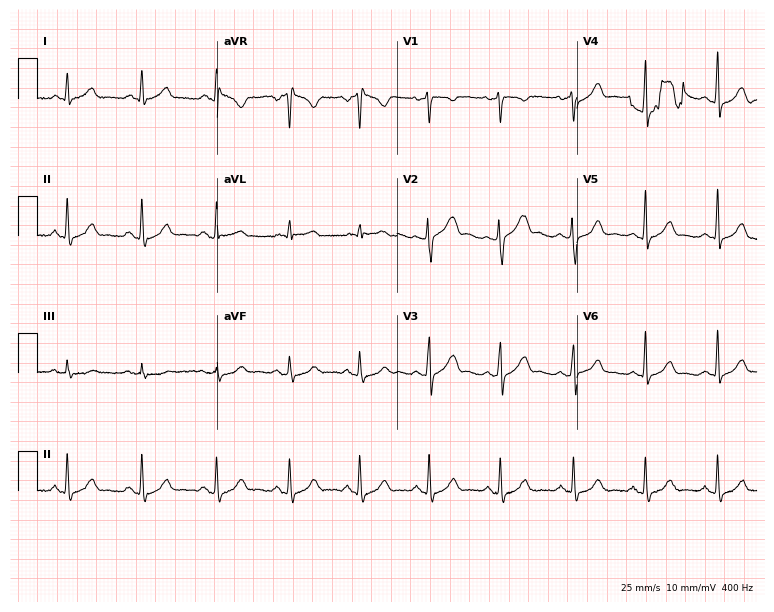
12-lead ECG from a 45-year-old female patient. Screened for six findings — first-degree AV block, right bundle branch block, left bundle branch block, sinus bradycardia, atrial fibrillation, sinus tachycardia — none is recorded. Findings outside these six are not listed.